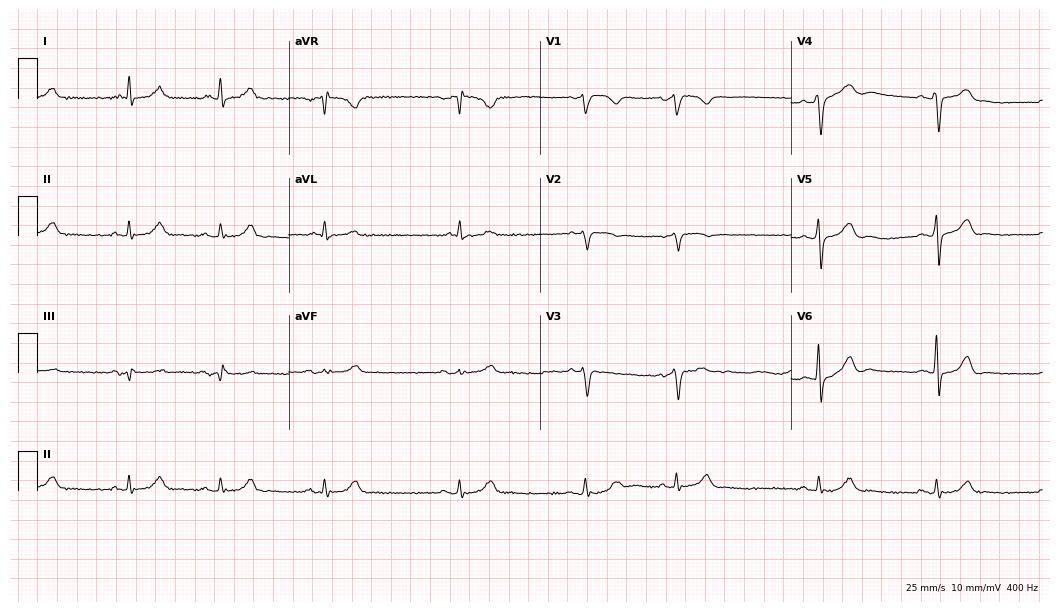
Electrocardiogram (10.2-second recording at 400 Hz), a man, 66 years old. Of the six screened findings (first-degree AV block, right bundle branch block, left bundle branch block, sinus bradycardia, atrial fibrillation, sinus tachycardia), none is recorded.